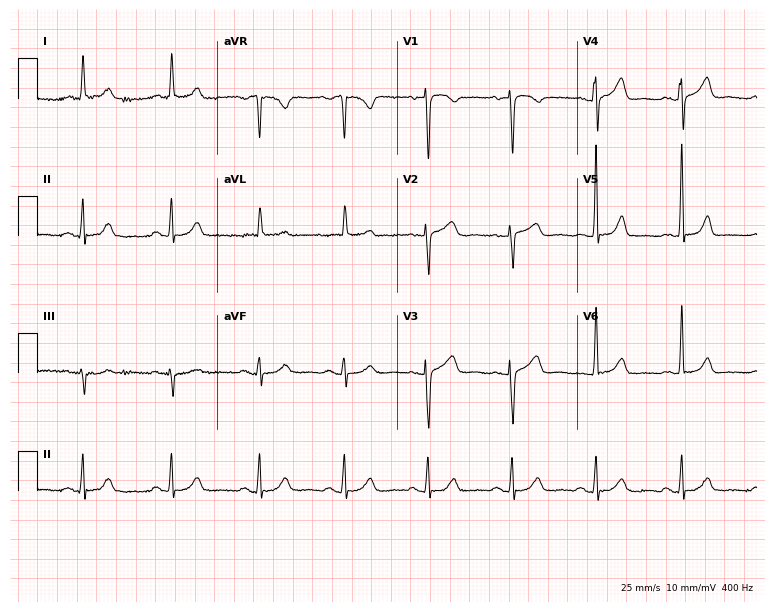
Resting 12-lead electrocardiogram (7.3-second recording at 400 Hz). Patient: a 70-year-old female. None of these six findings is recorded: first-degree AV block, right bundle branch block, left bundle branch block, sinus bradycardia, atrial fibrillation, sinus tachycardia.